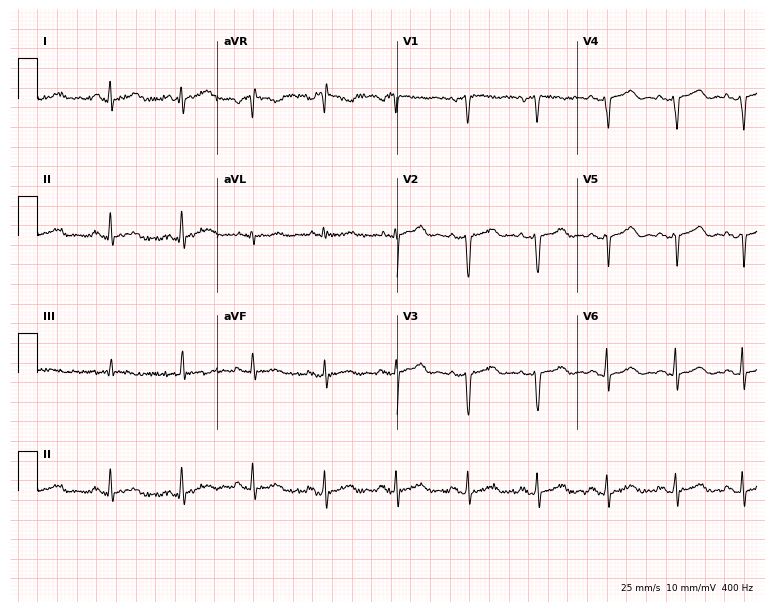
Standard 12-lead ECG recorded from a 44-year-old female patient. None of these six findings is recorded: first-degree AV block, right bundle branch block, left bundle branch block, sinus bradycardia, atrial fibrillation, sinus tachycardia.